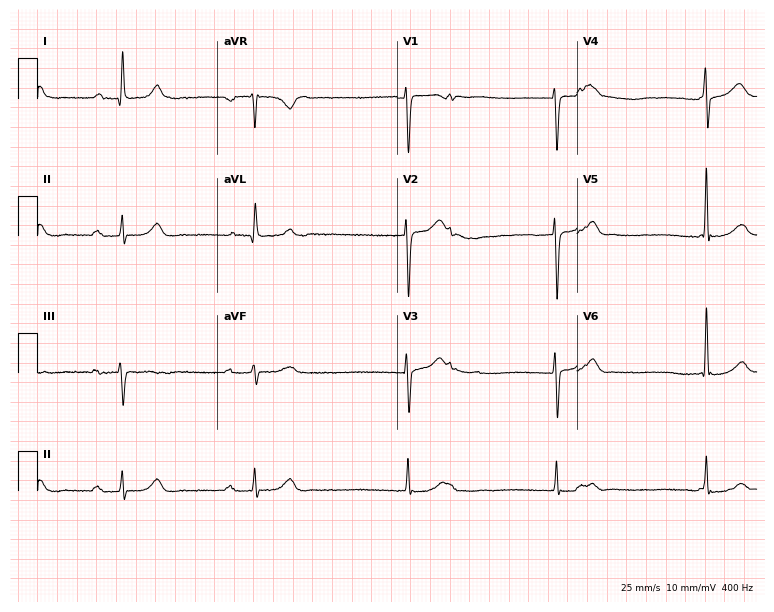
12-lead ECG from a male, 67 years old. Shows first-degree AV block.